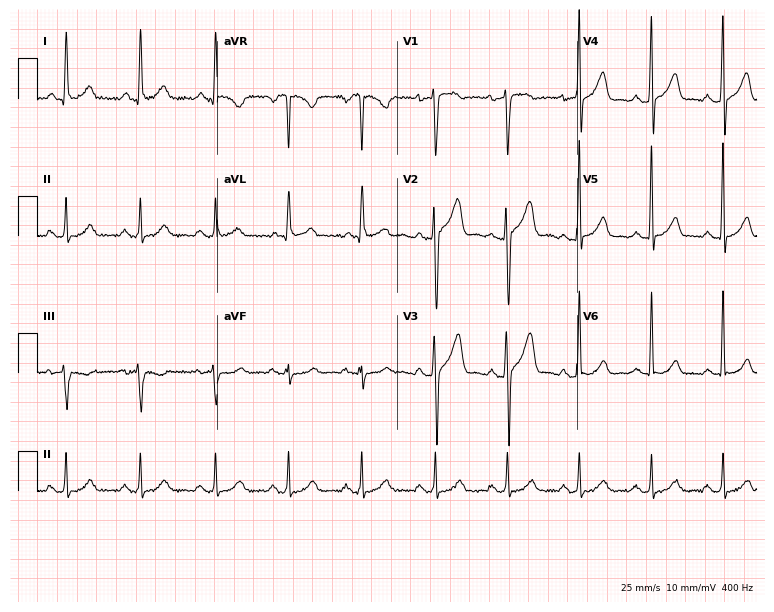
ECG — a male patient, 44 years old. Labelled as a normal ECG.